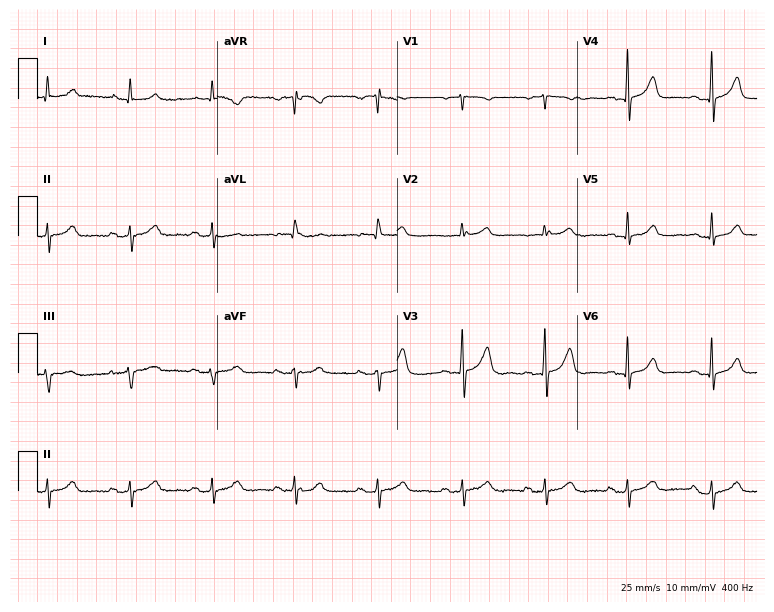
12-lead ECG from a female patient, 68 years old. No first-degree AV block, right bundle branch block, left bundle branch block, sinus bradycardia, atrial fibrillation or sinus tachycardia recorded for this tracing. Other findings, if any, are not listed.